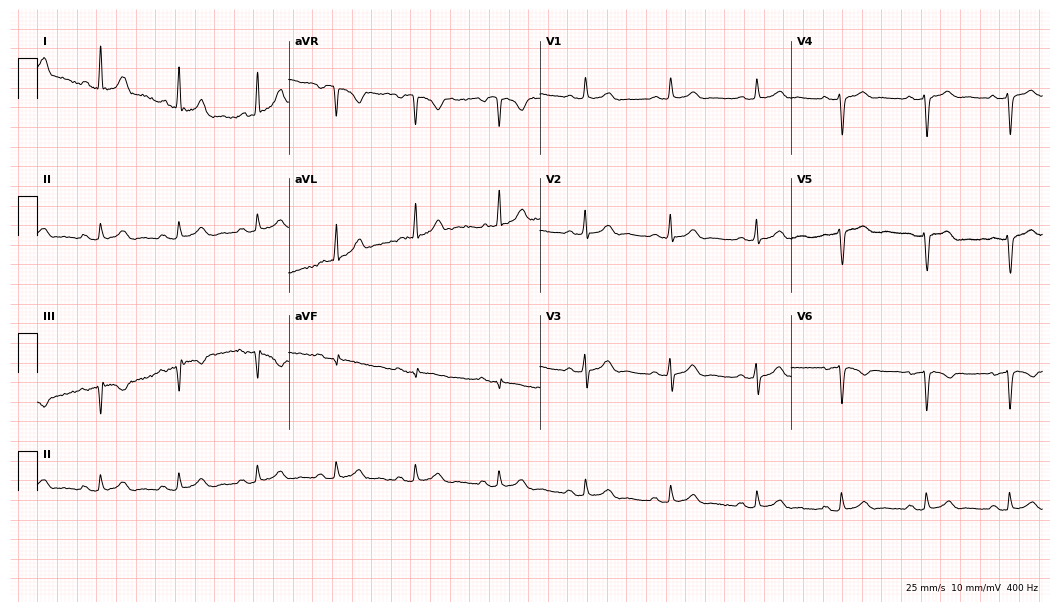
12-lead ECG from a 41-year-old female patient (10.2-second recording at 400 Hz). No first-degree AV block, right bundle branch block, left bundle branch block, sinus bradycardia, atrial fibrillation or sinus tachycardia recorded for this tracing. Findings outside these six are not listed.